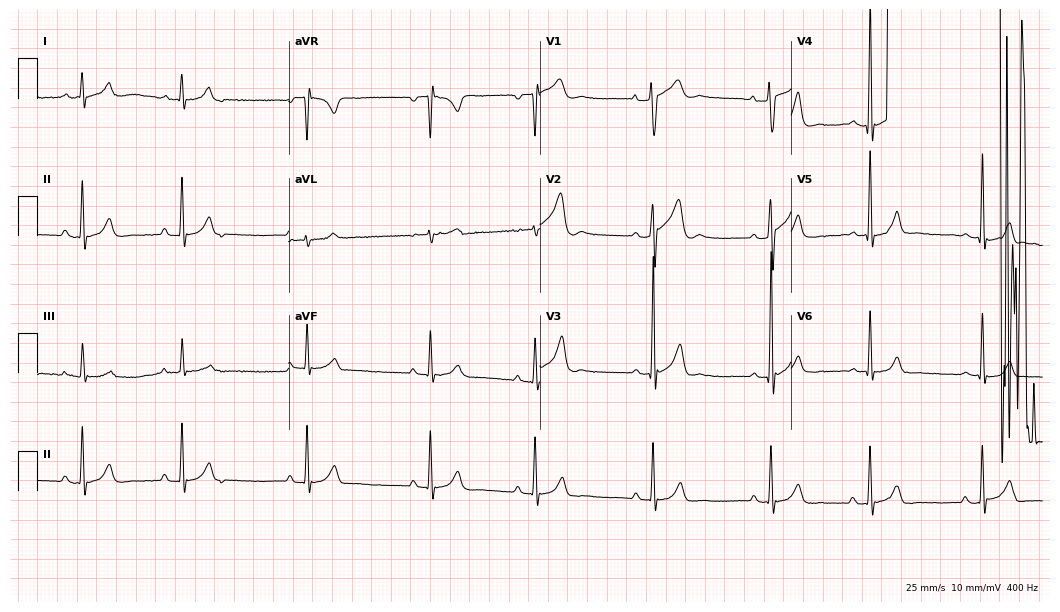
Standard 12-lead ECG recorded from a male patient, 17 years old (10.2-second recording at 400 Hz). None of these six findings is recorded: first-degree AV block, right bundle branch block, left bundle branch block, sinus bradycardia, atrial fibrillation, sinus tachycardia.